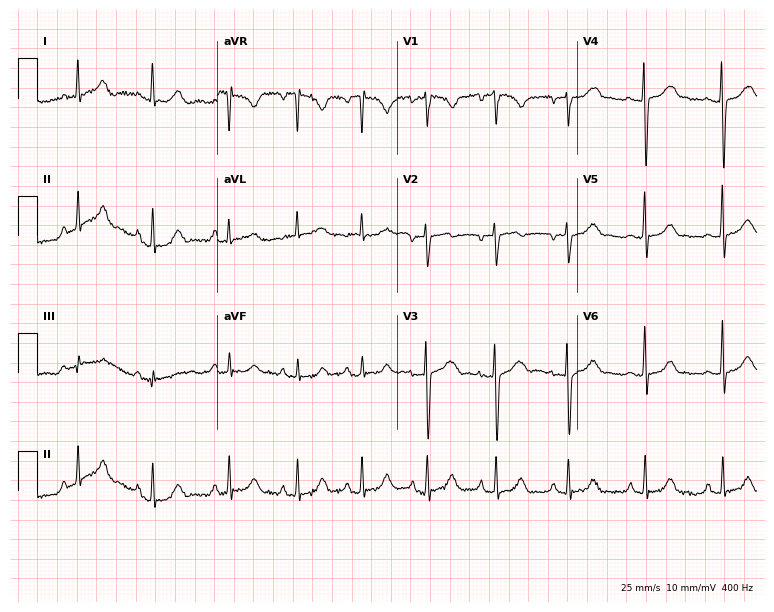
12-lead ECG from a female patient, 23 years old. Labelled as a normal ECG.